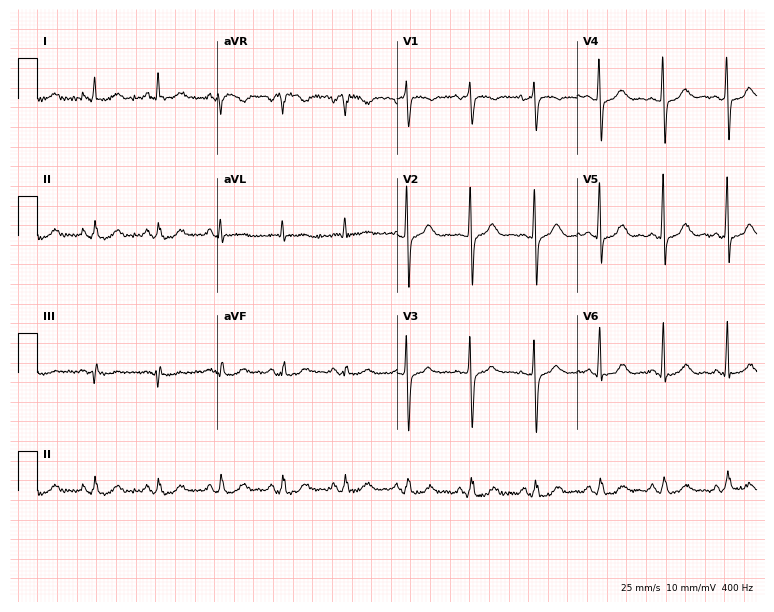
12-lead ECG from a woman, 59 years old. Labelled as a normal ECG.